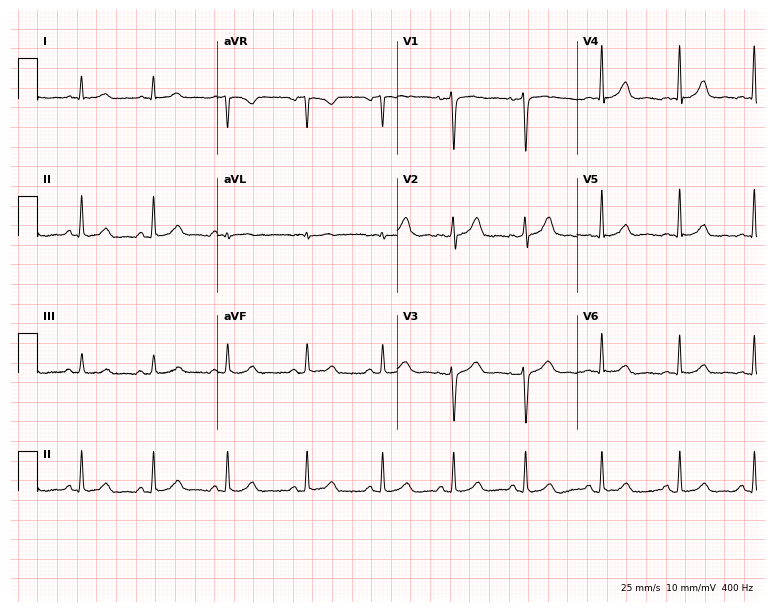
12-lead ECG from a 34-year-old female patient. Recorded interpretation: within normal limits.